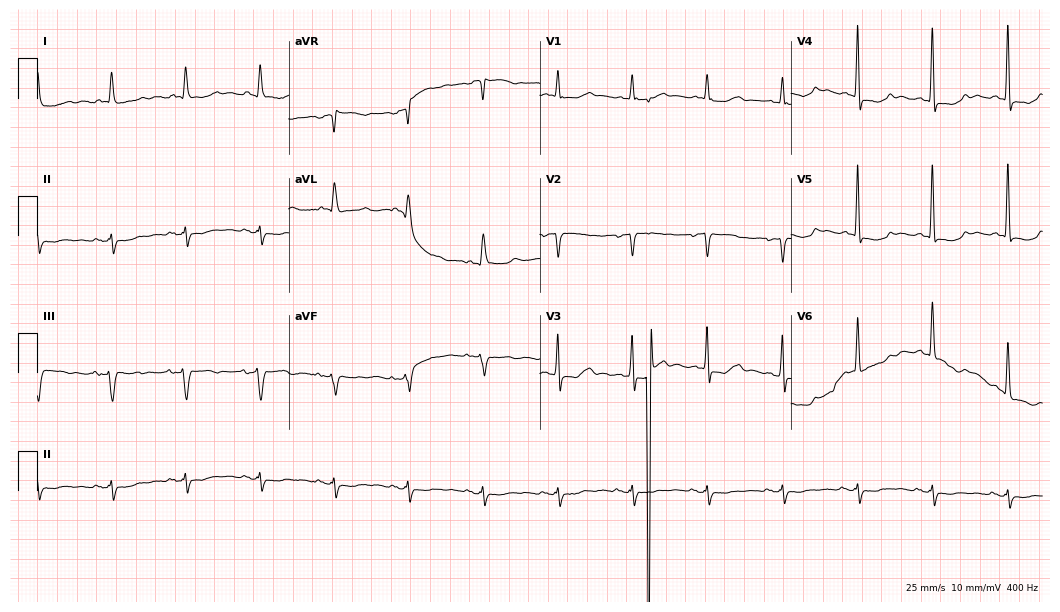
12-lead ECG from a 64-year-old female (10.2-second recording at 400 Hz). No first-degree AV block, right bundle branch block (RBBB), left bundle branch block (LBBB), sinus bradycardia, atrial fibrillation (AF) or sinus tachycardia recorded for this tracing. Only these six findings were labelled.